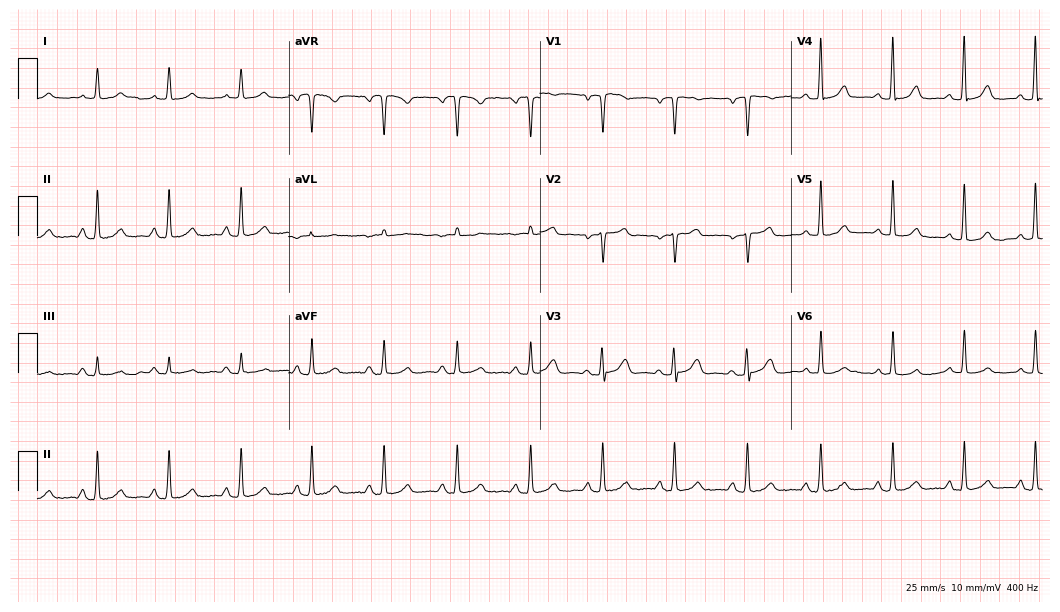
Electrocardiogram, a female patient, 59 years old. Of the six screened findings (first-degree AV block, right bundle branch block, left bundle branch block, sinus bradycardia, atrial fibrillation, sinus tachycardia), none is recorded.